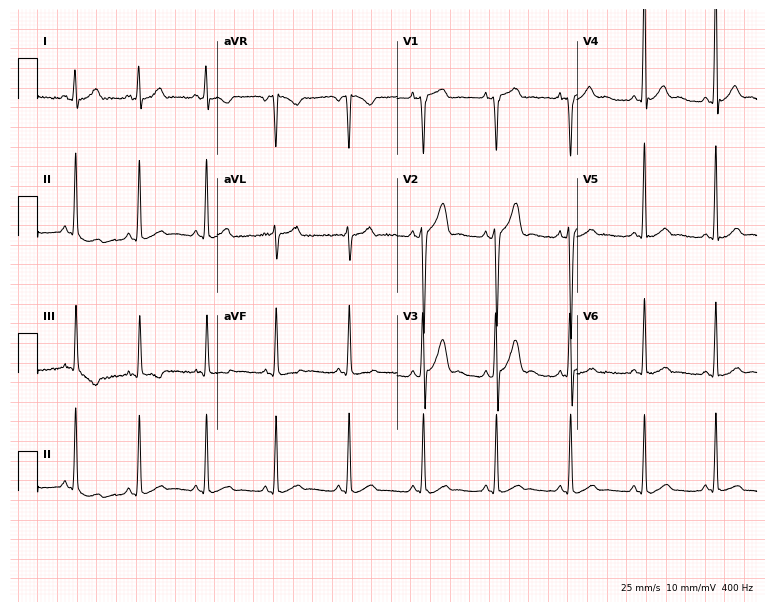
Standard 12-lead ECG recorded from a male patient, 23 years old. Read as a normal ECG.